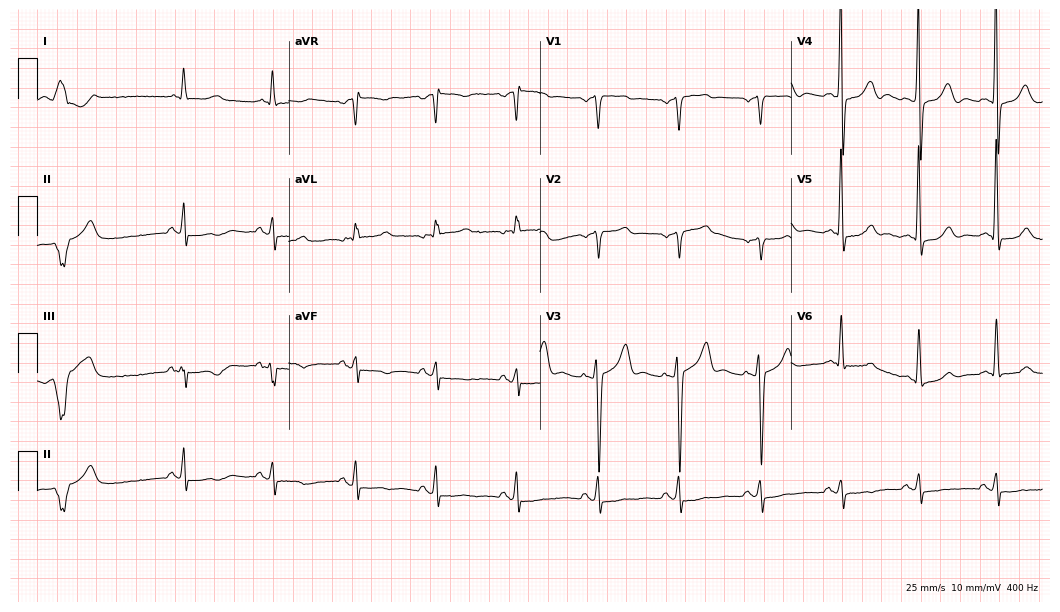
12-lead ECG from a male patient, 67 years old. Screened for six findings — first-degree AV block, right bundle branch block, left bundle branch block, sinus bradycardia, atrial fibrillation, sinus tachycardia — none is recorded. Only these six findings were labelled.